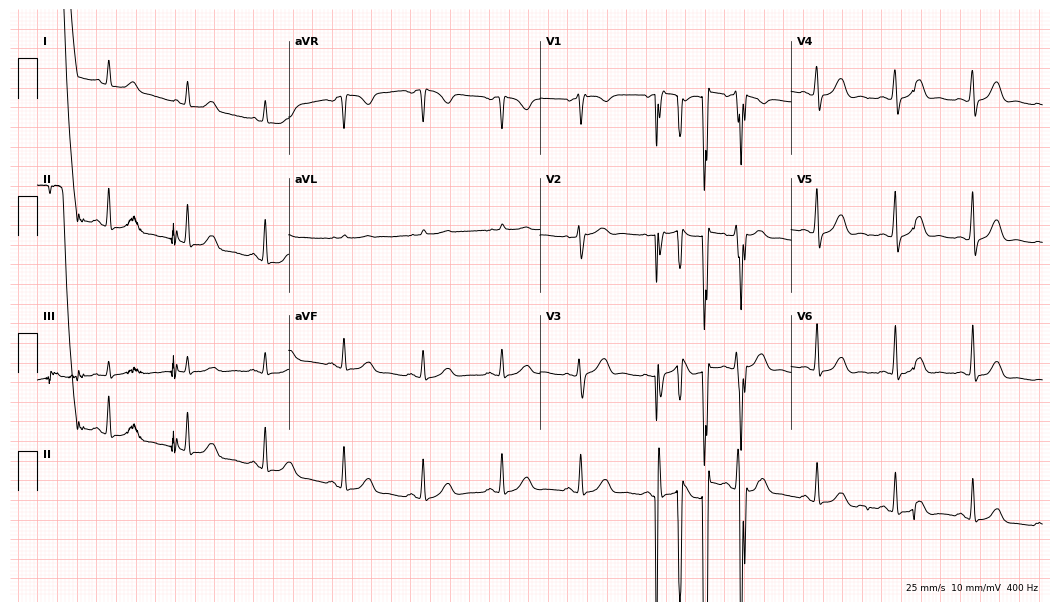
12-lead ECG from a woman, 75 years old. Recorded interpretation: within normal limits.